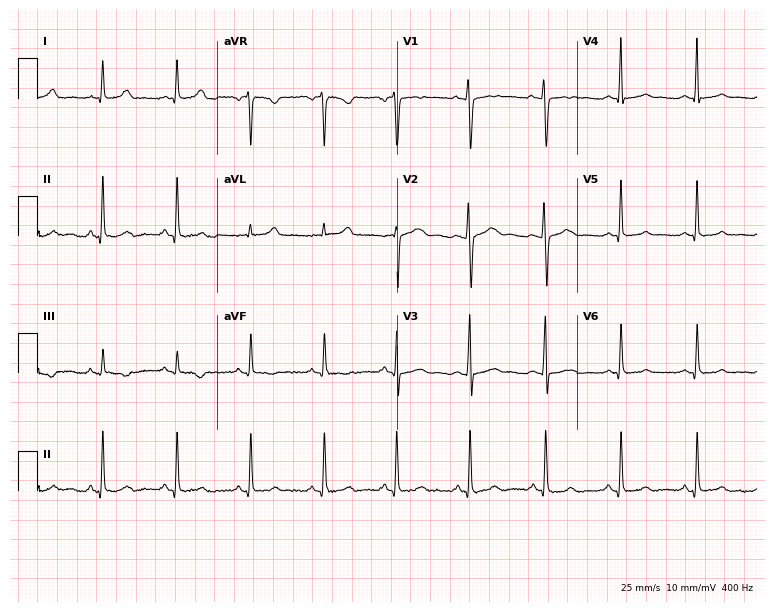
12-lead ECG from a 35-year-old female patient. Labelled as a normal ECG.